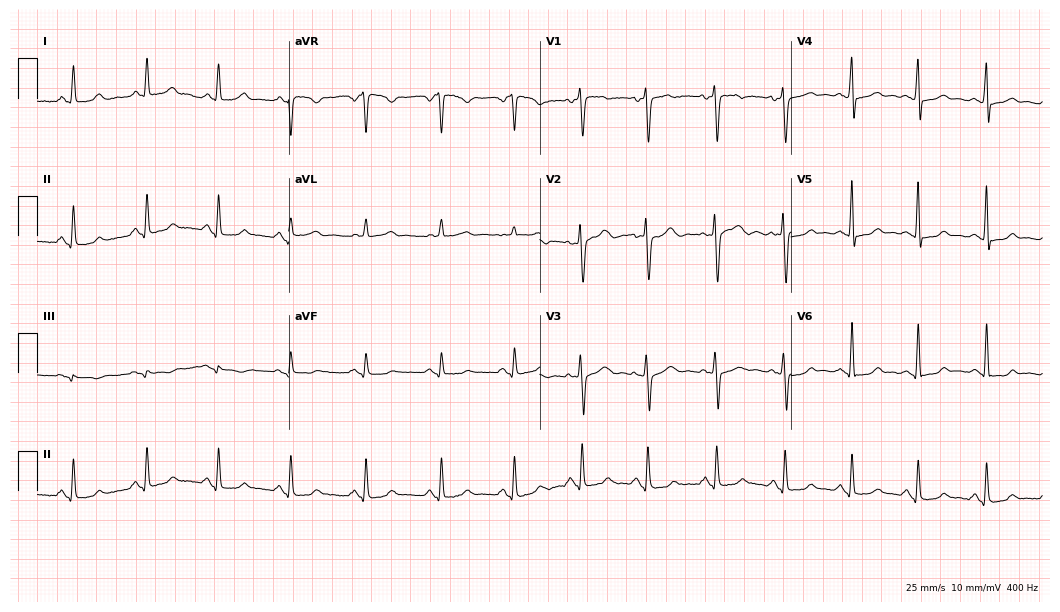
12-lead ECG from a 32-year-old woman. Screened for six findings — first-degree AV block, right bundle branch block, left bundle branch block, sinus bradycardia, atrial fibrillation, sinus tachycardia — none is recorded. Only these six findings were labelled.